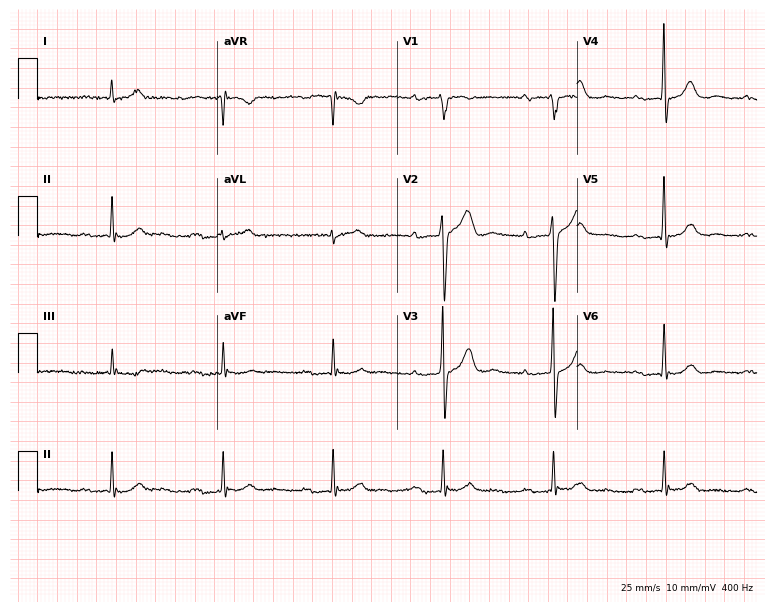
12-lead ECG from a 75-year-old man (7.3-second recording at 400 Hz). Shows first-degree AV block.